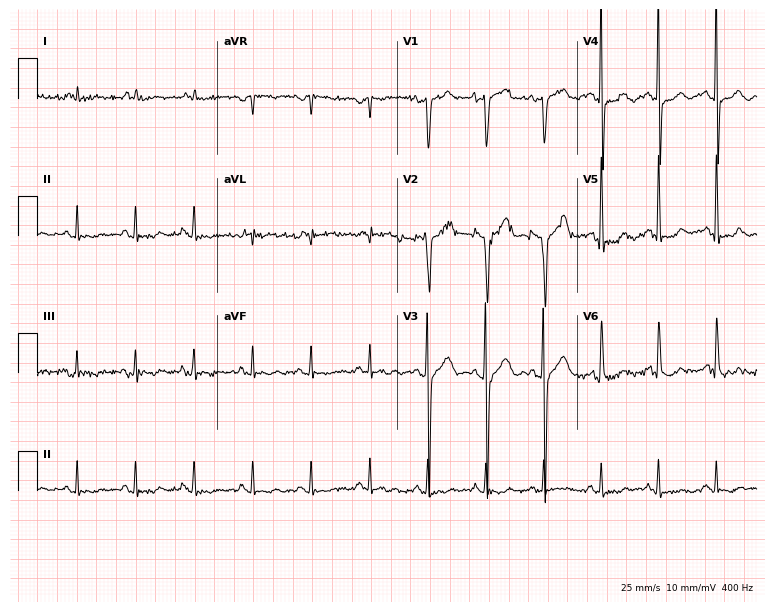
12-lead ECG (7.3-second recording at 400 Hz) from a 58-year-old male. Screened for six findings — first-degree AV block, right bundle branch block, left bundle branch block, sinus bradycardia, atrial fibrillation, sinus tachycardia — none is recorded. Findings outside these six are not listed.